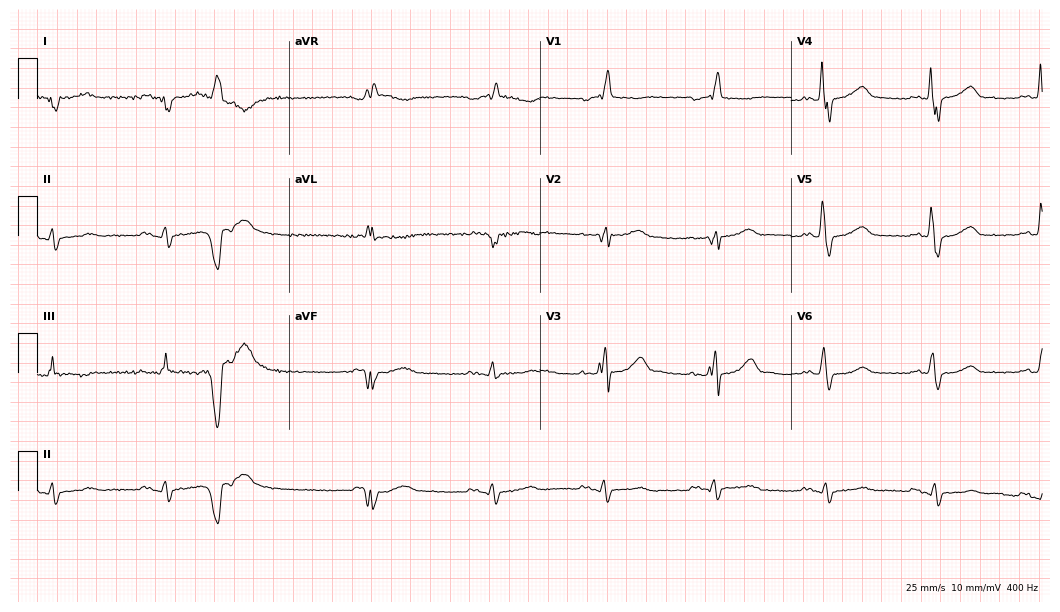
Electrocardiogram, a 66-year-old male. Interpretation includes right bundle branch block.